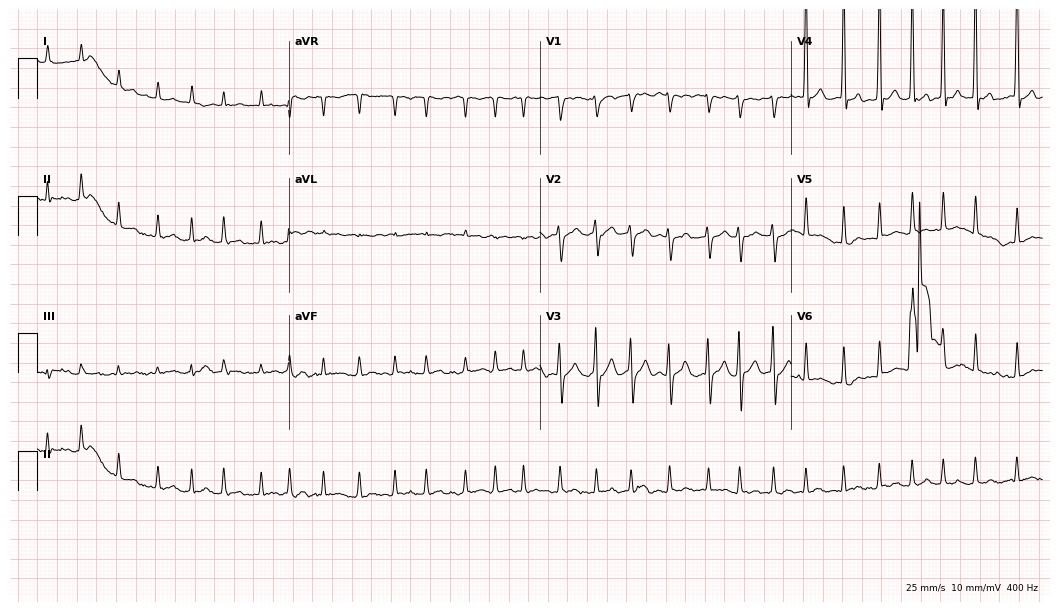
Resting 12-lead electrocardiogram. Patient: a male, 78 years old. None of these six findings is recorded: first-degree AV block, right bundle branch block, left bundle branch block, sinus bradycardia, atrial fibrillation, sinus tachycardia.